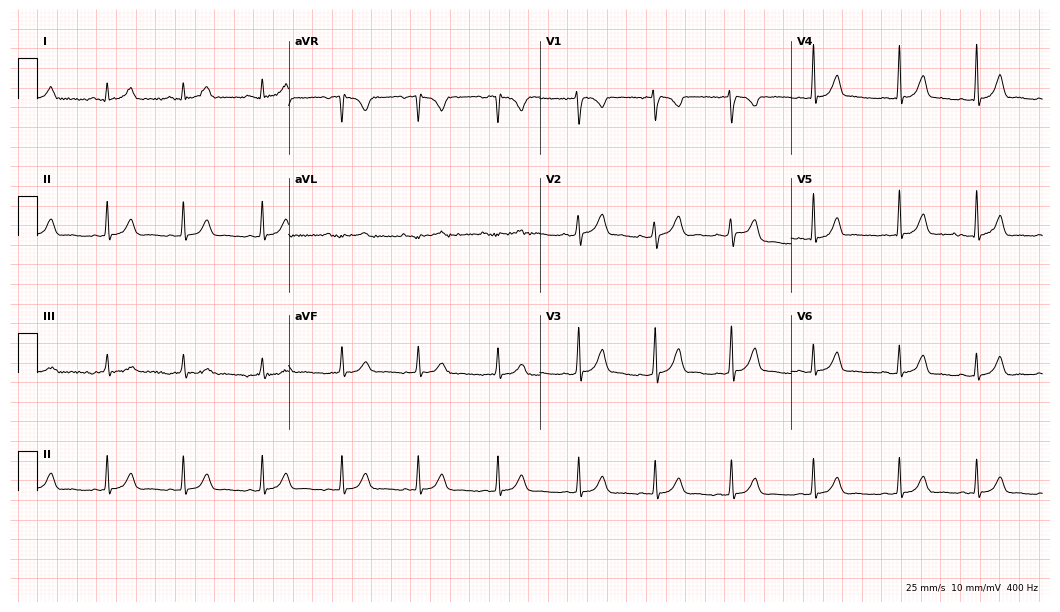
12-lead ECG (10.2-second recording at 400 Hz) from a female patient, 18 years old. Labelled as a normal ECG.